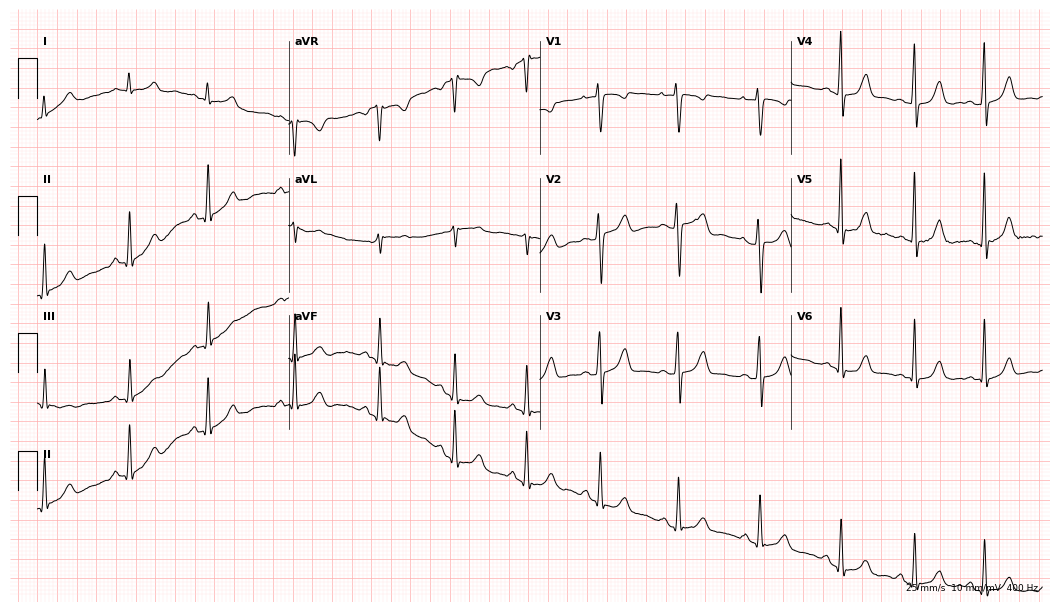
Resting 12-lead electrocardiogram (10.2-second recording at 400 Hz). Patient: a 22-year-old female. Read as a normal ECG.